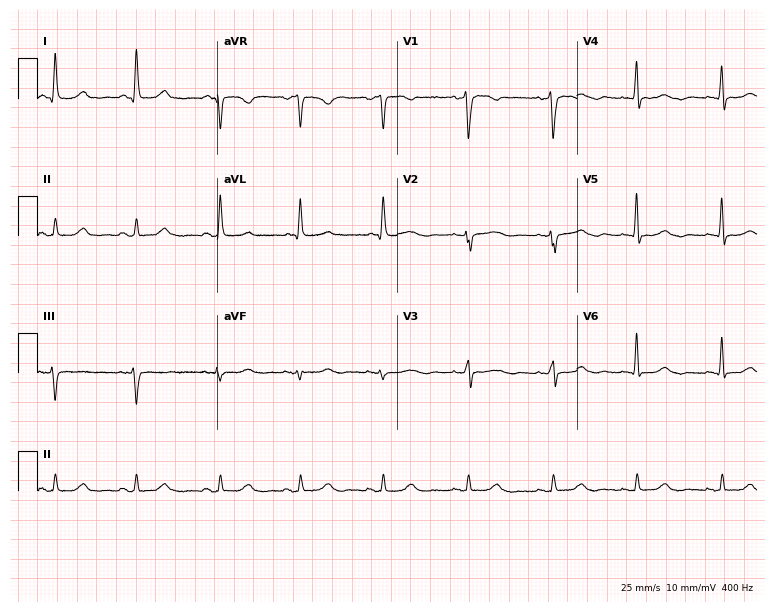
ECG (7.3-second recording at 400 Hz) — a female, 63 years old. Screened for six findings — first-degree AV block, right bundle branch block (RBBB), left bundle branch block (LBBB), sinus bradycardia, atrial fibrillation (AF), sinus tachycardia — none is recorded. Only these six findings were labelled.